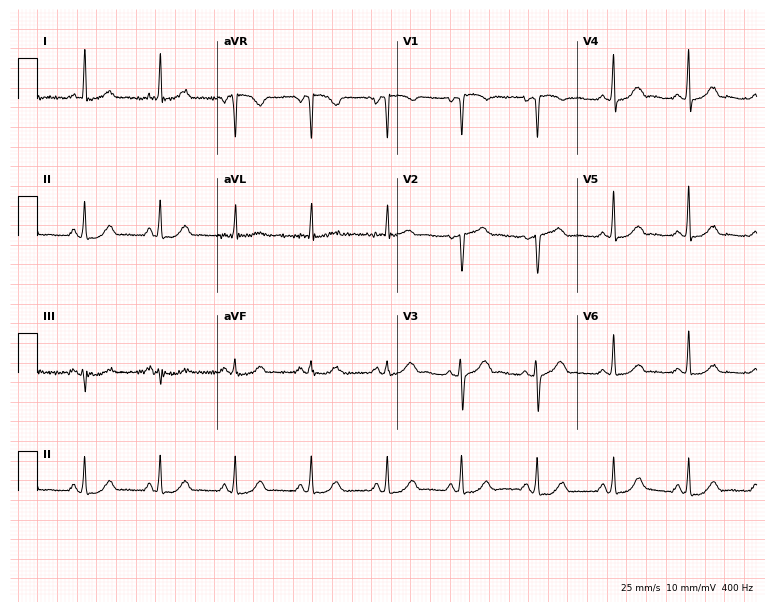
ECG (7.3-second recording at 400 Hz) — a woman, 47 years old. Screened for six findings — first-degree AV block, right bundle branch block (RBBB), left bundle branch block (LBBB), sinus bradycardia, atrial fibrillation (AF), sinus tachycardia — none is recorded.